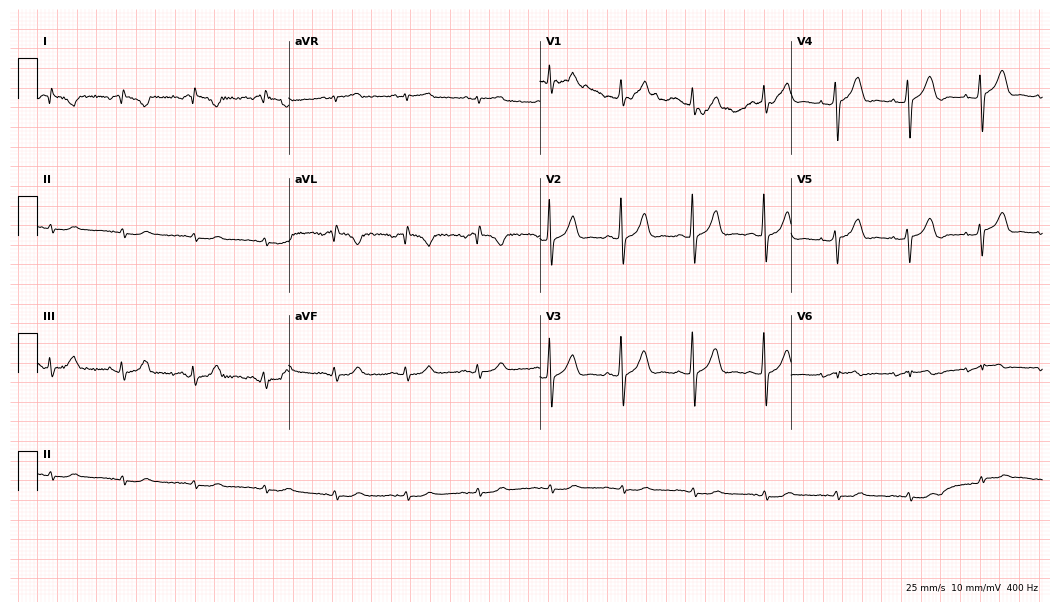
Resting 12-lead electrocardiogram (10.2-second recording at 400 Hz). Patient: a 68-year-old female. None of these six findings is recorded: first-degree AV block, right bundle branch block (RBBB), left bundle branch block (LBBB), sinus bradycardia, atrial fibrillation (AF), sinus tachycardia.